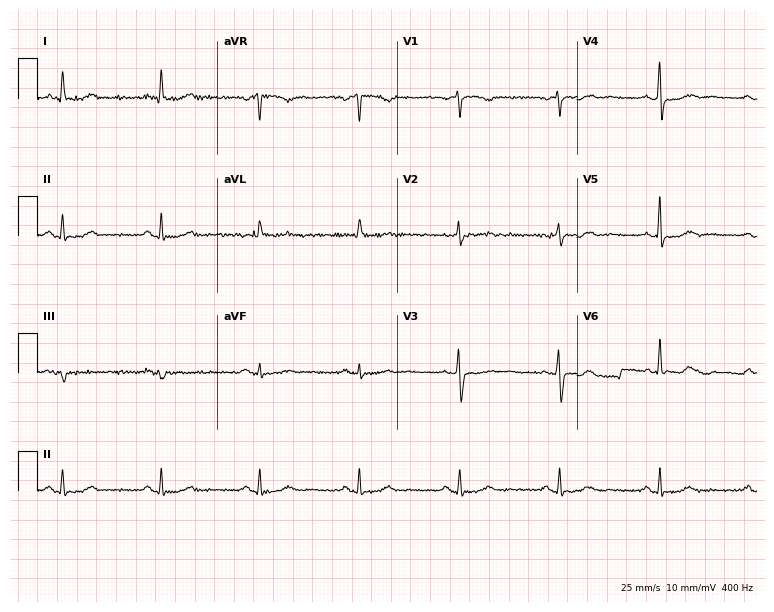
Electrocardiogram, a 64-year-old female. Of the six screened findings (first-degree AV block, right bundle branch block, left bundle branch block, sinus bradycardia, atrial fibrillation, sinus tachycardia), none is recorded.